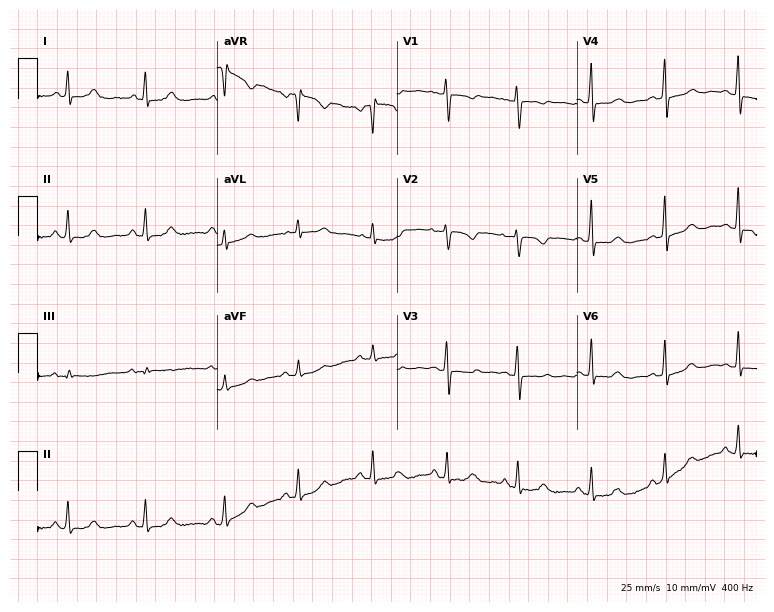
12-lead ECG from a 33-year-old female patient (7.3-second recording at 400 Hz). No first-degree AV block, right bundle branch block, left bundle branch block, sinus bradycardia, atrial fibrillation or sinus tachycardia recorded for this tracing. Findings outside these six are not listed.